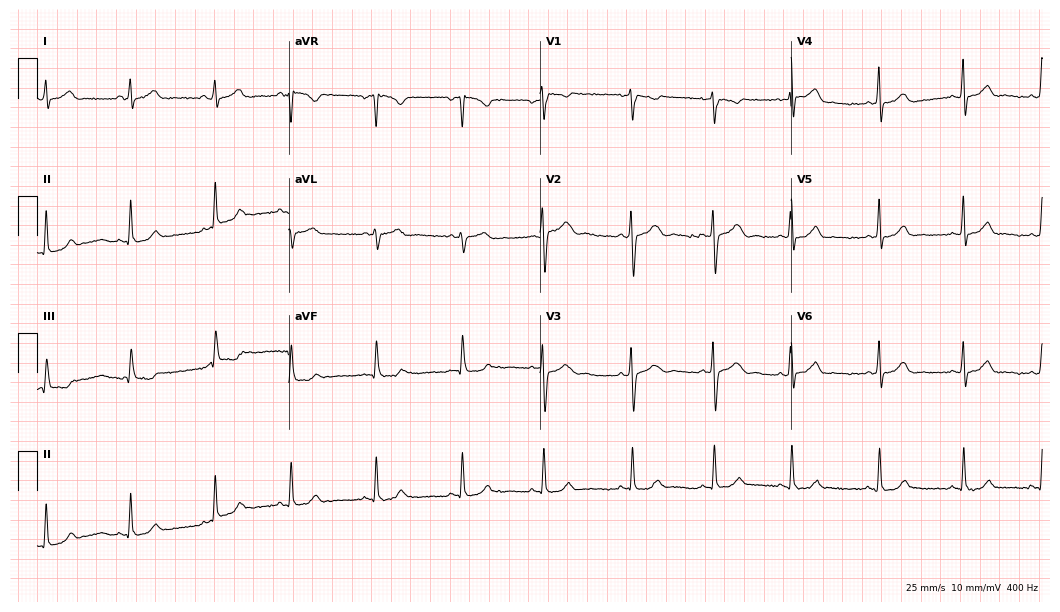
ECG (10.2-second recording at 400 Hz) — a female patient, 17 years old. Labelled as a normal ECG.